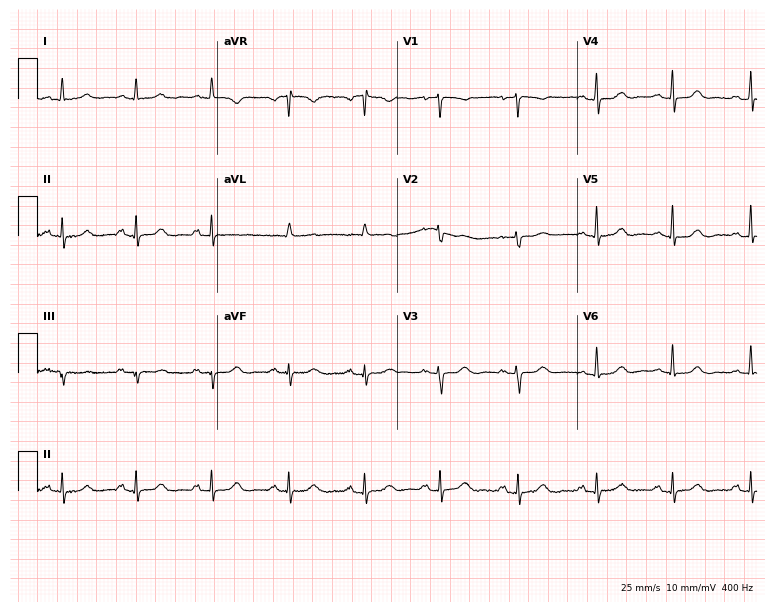
ECG — a female patient, 72 years old. Screened for six findings — first-degree AV block, right bundle branch block, left bundle branch block, sinus bradycardia, atrial fibrillation, sinus tachycardia — none is recorded. Other findings, if any, are not listed.